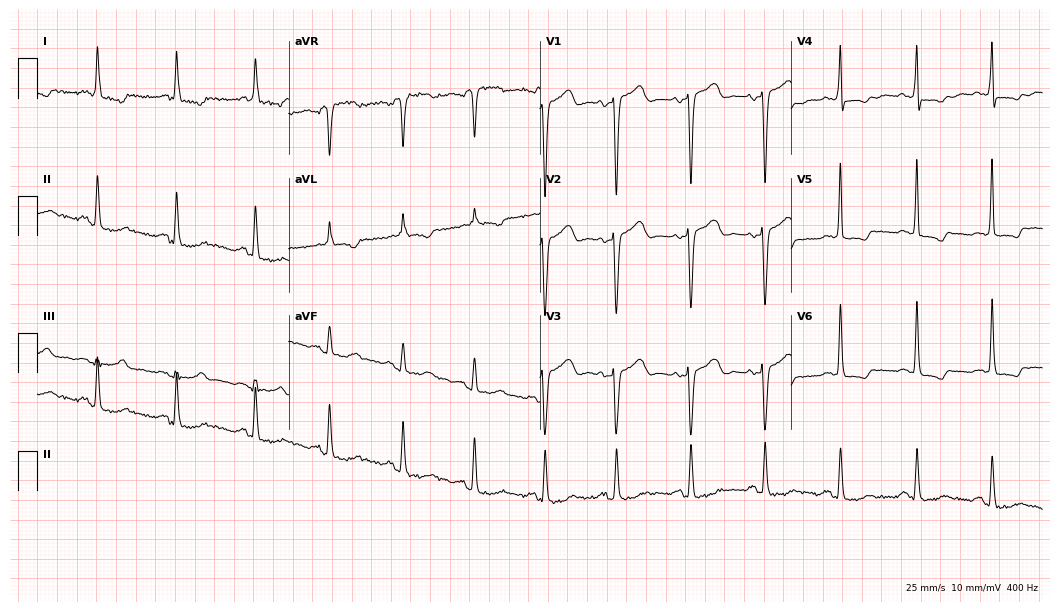
Standard 12-lead ECG recorded from a female, 78 years old. None of these six findings is recorded: first-degree AV block, right bundle branch block (RBBB), left bundle branch block (LBBB), sinus bradycardia, atrial fibrillation (AF), sinus tachycardia. Other findings, if any, are not listed.